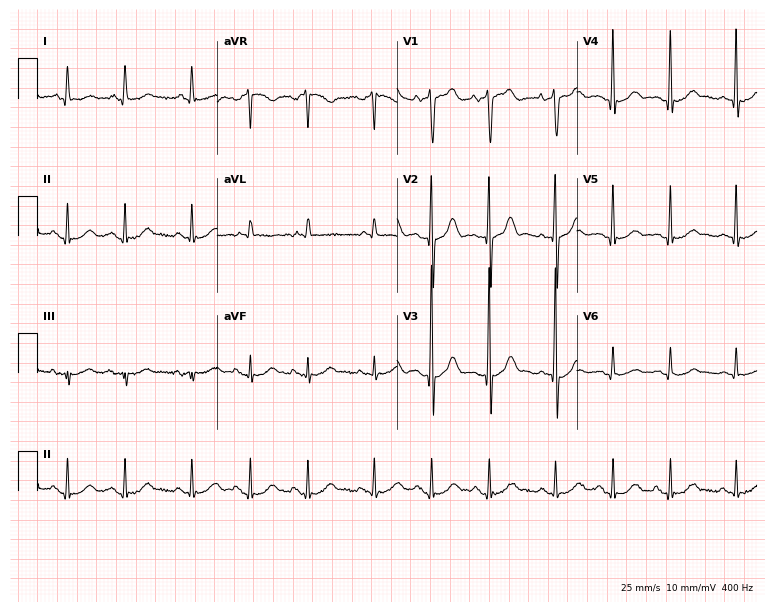
12-lead ECG (7.3-second recording at 400 Hz) from a female patient, 80 years old. Screened for six findings — first-degree AV block, right bundle branch block (RBBB), left bundle branch block (LBBB), sinus bradycardia, atrial fibrillation (AF), sinus tachycardia — none is recorded. Only these six findings were labelled.